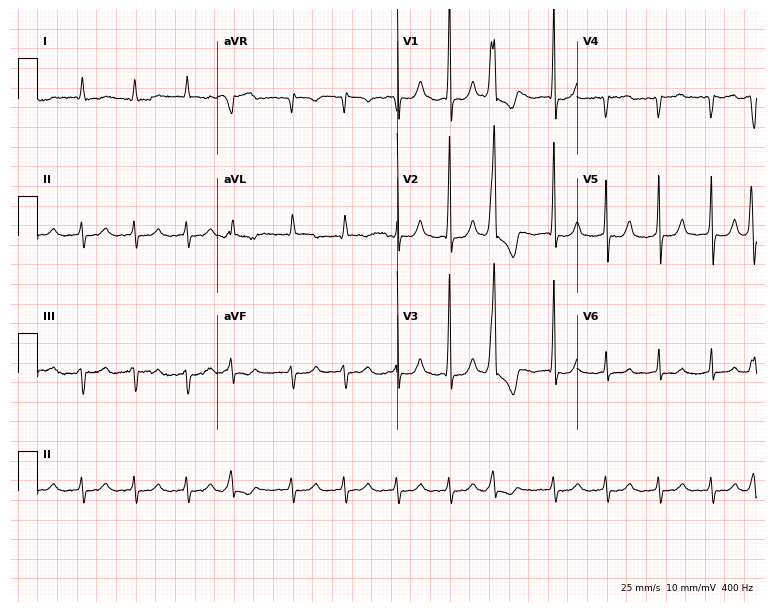
Electrocardiogram, a male, 85 years old. Interpretation includes atrial fibrillation.